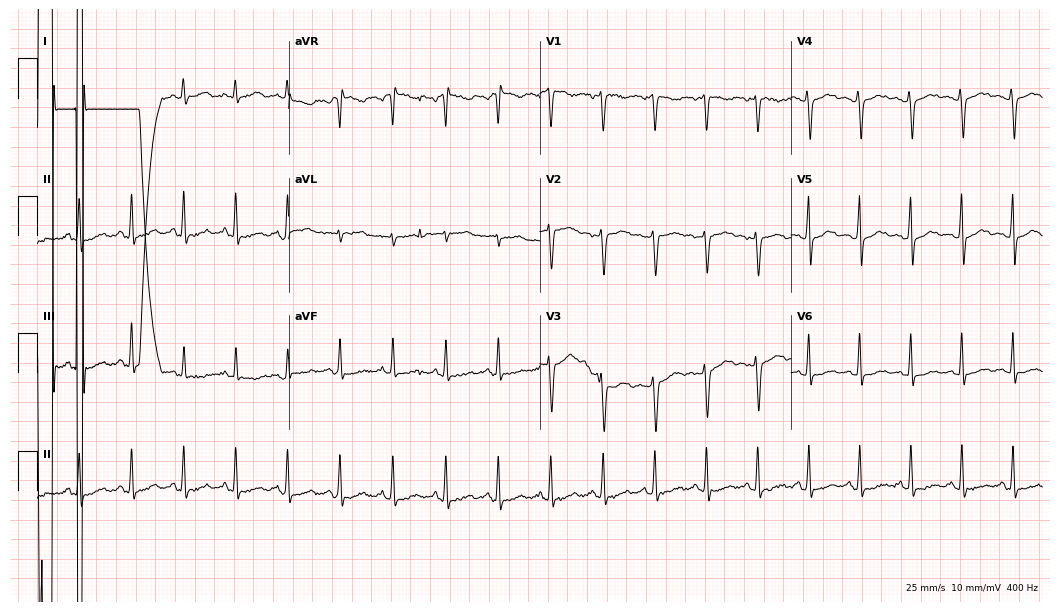
12-lead ECG (10.2-second recording at 400 Hz) from a 23-year-old woman. Screened for six findings — first-degree AV block, right bundle branch block (RBBB), left bundle branch block (LBBB), sinus bradycardia, atrial fibrillation (AF), sinus tachycardia — none is recorded.